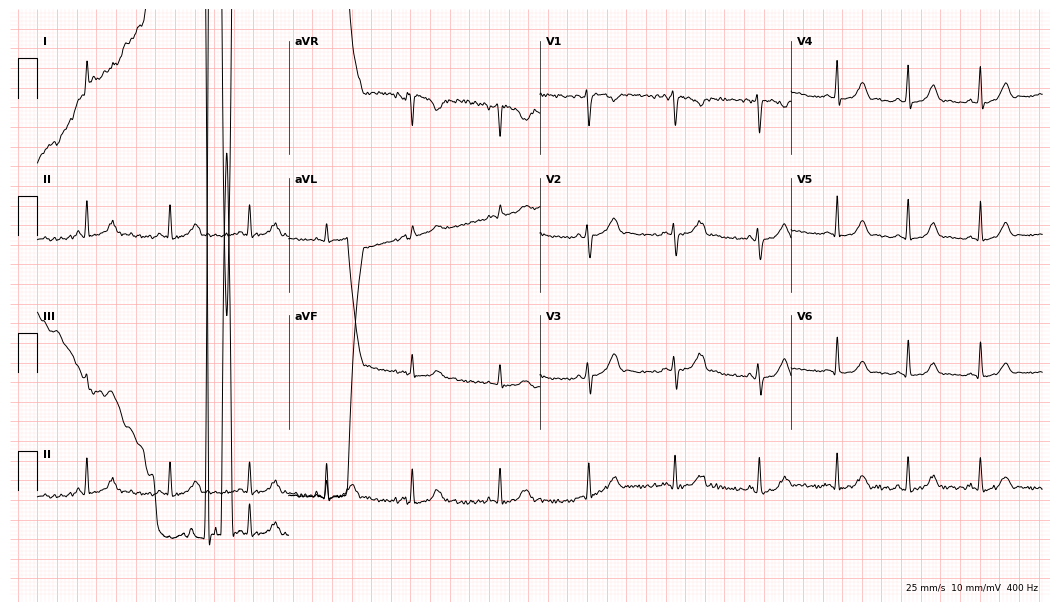
Electrocardiogram, a 30-year-old woman. Overall reading on record: normal ECG.